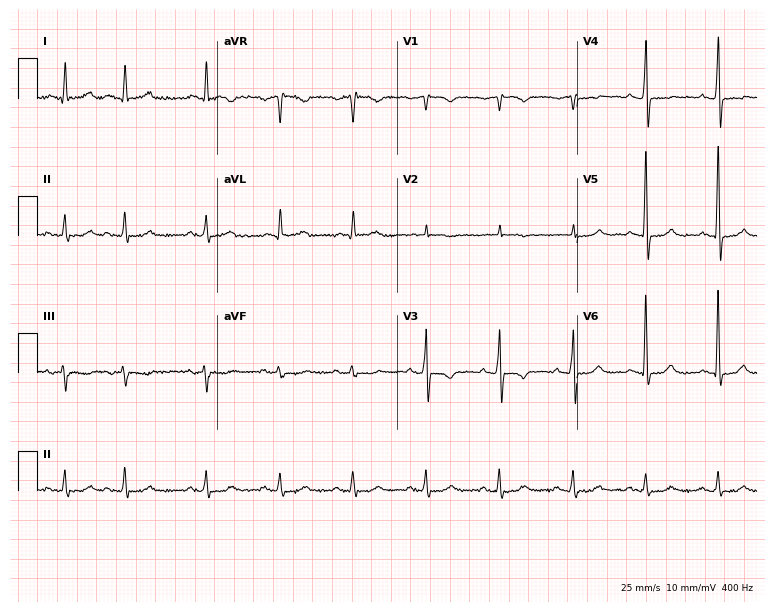
12-lead ECG from a 73-year-old woman. Screened for six findings — first-degree AV block, right bundle branch block, left bundle branch block, sinus bradycardia, atrial fibrillation, sinus tachycardia — none is recorded.